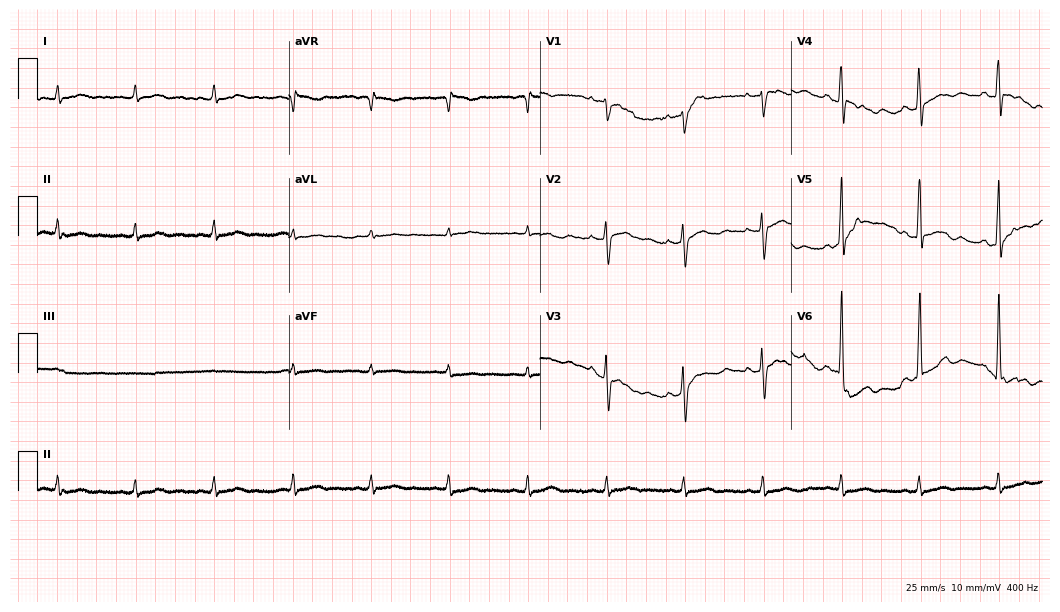
Resting 12-lead electrocardiogram (10.2-second recording at 400 Hz). Patient: a female, 54 years old. None of these six findings is recorded: first-degree AV block, right bundle branch block, left bundle branch block, sinus bradycardia, atrial fibrillation, sinus tachycardia. Other findings, if any, are not listed.